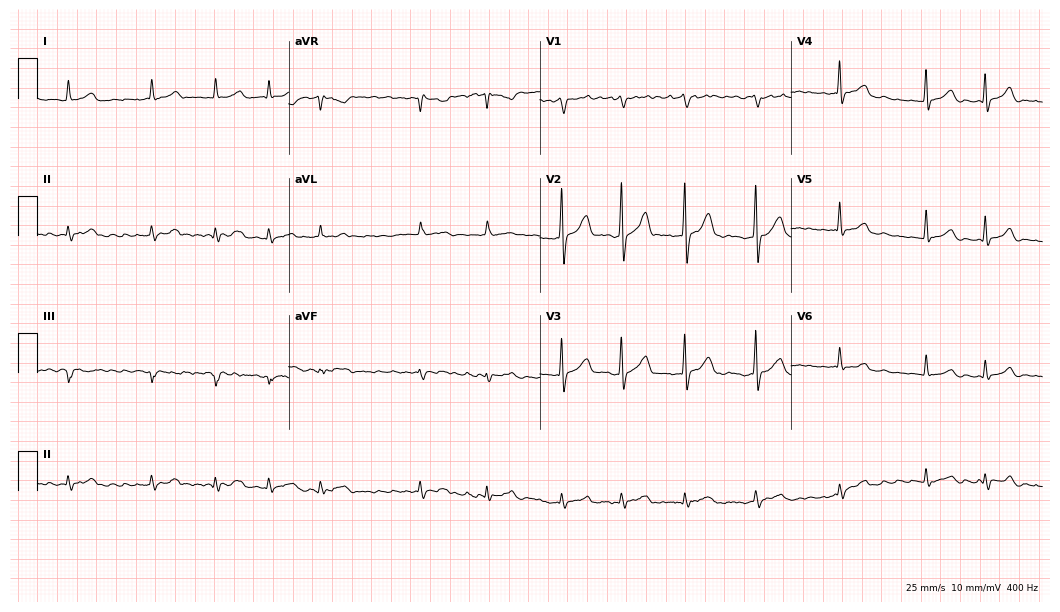
Resting 12-lead electrocardiogram. Patient: a 66-year-old male. The tracing shows atrial fibrillation.